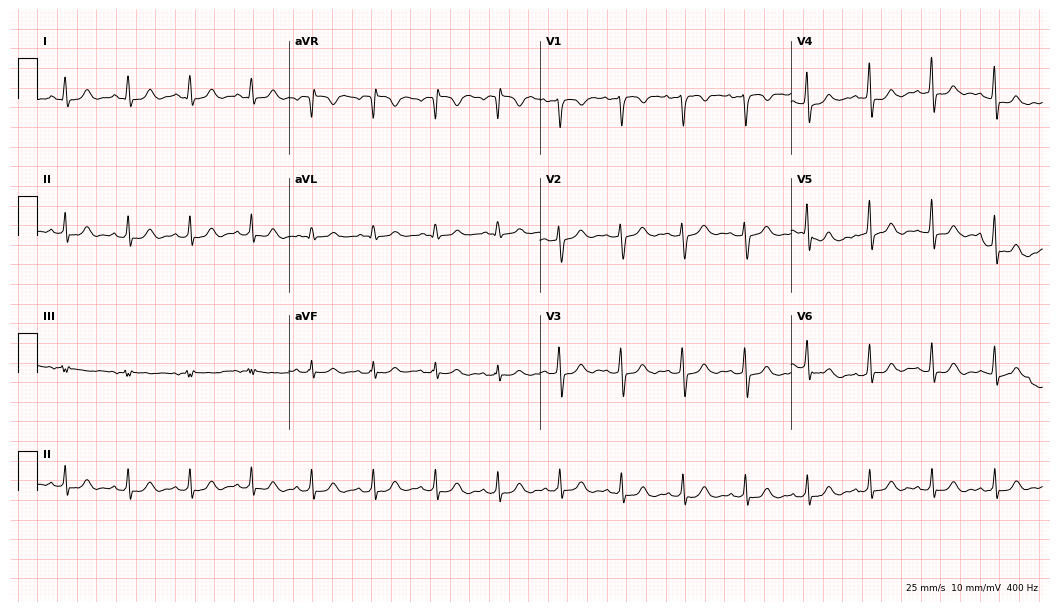
ECG — a female, 40 years old. Screened for six findings — first-degree AV block, right bundle branch block (RBBB), left bundle branch block (LBBB), sinus bradycardia, atrial fibrillation (AF), sinus tachycardia — none is recorded. Other findings, if any, are not listed.